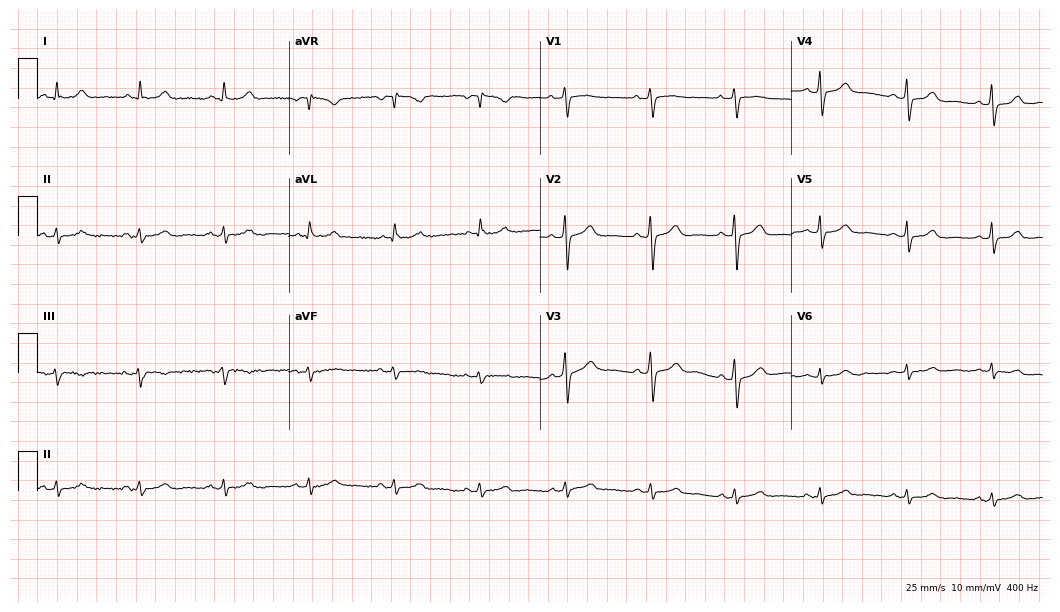
12-lead ECG from a 74-year-old woman. No first-degree AV block, right bundle branch block, left bundle branch block, sinus bradycardia, atrial fibrillation or sinus tachycardia recorded for this tracing. Findings outside these six are not listed.